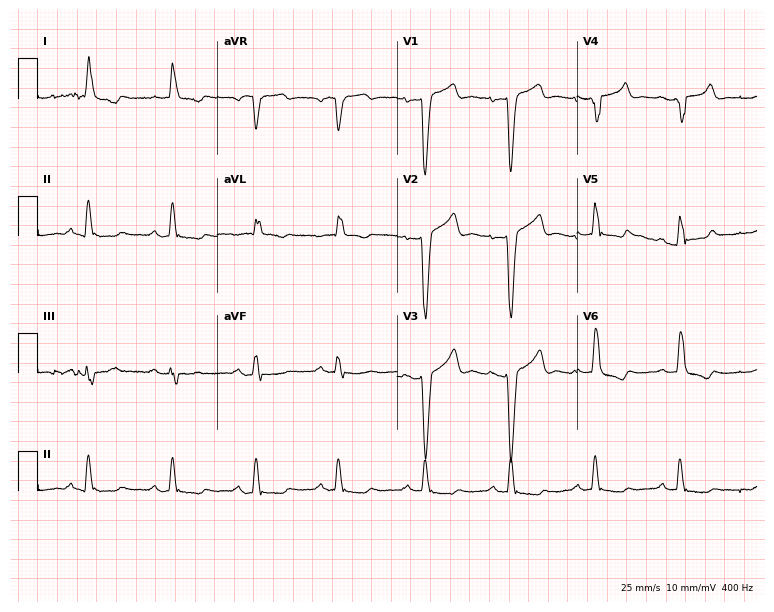
Resting 12-lead electrocardiogram (7.3-second recording at 400 Hz). Patient: a female, 67 years old. None of these six findings is recorded: first-degree AV block, right bundle branch block, left bundle branch block, sinus bradycardia, atrial fibrillation, sinus tachycardia. Other findings, if any, are not listed.